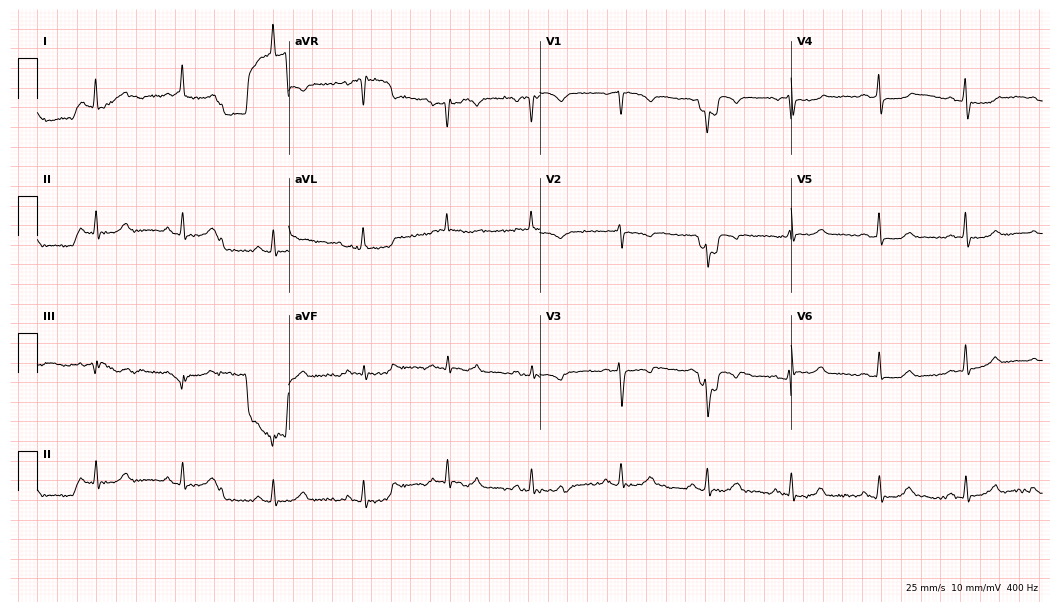
Electrocardiogram (10.2-second recording at 400 Hz), an 80-year-old female patient. Of the six screened findings (first-degree AV block, right bundle branch block (RBBB), left bundle branch block (LBBB), sinus bradycardia, atrial fibrillation (AF), sinus tachycardia), none is recorded. Other findings, if any, are not listed.